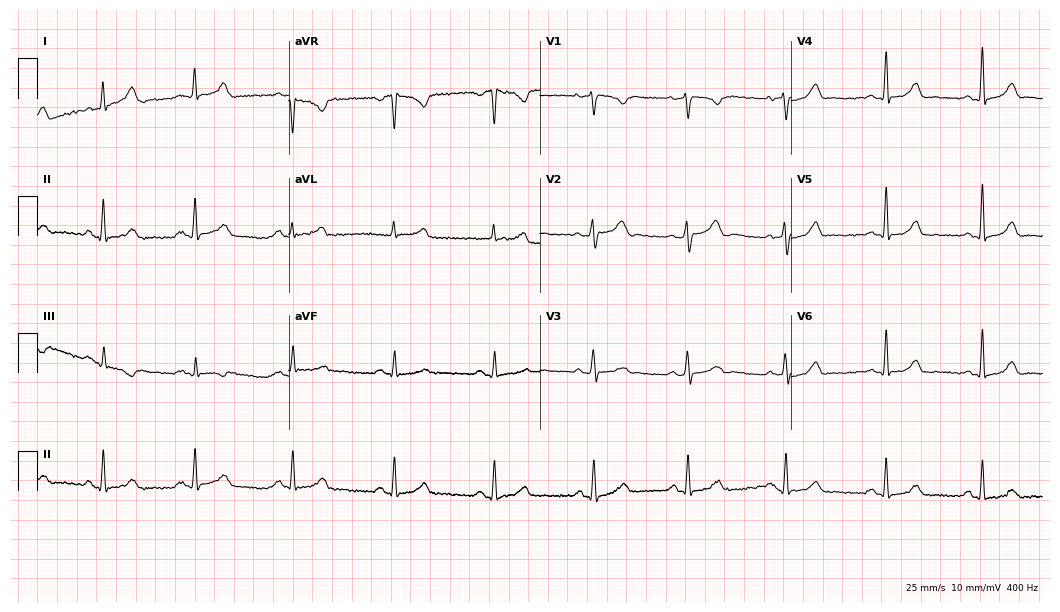
Resting 12-lead electrocardiogram. Patient: a woman, 39 years old. Read as a normal ECG.